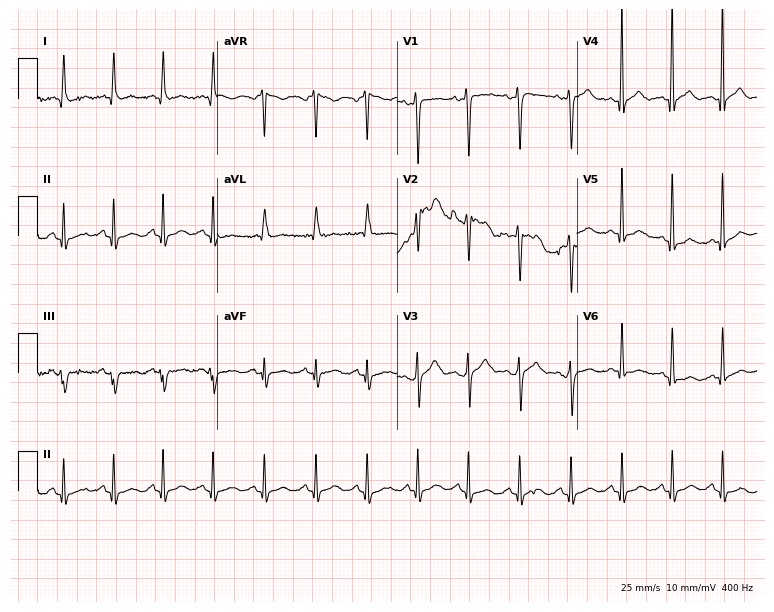
ECG (7.3-second recording at 400 Hz) — a woman, 29 years old. Screened for six findings — first-degree AV block, right bundle branch block, left bundle branch block, sinus bradycardia, atrial fibrillation, sinus tachycardia — none is recorded.